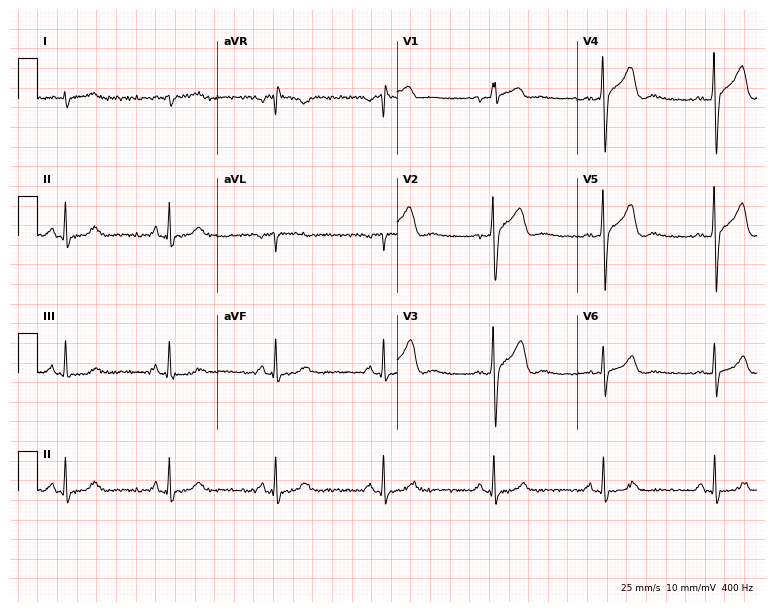
12-lead ECG (7.3-second recording at 400 Hz) from a 48-year-old male patient. Labelled as a normal ECG.